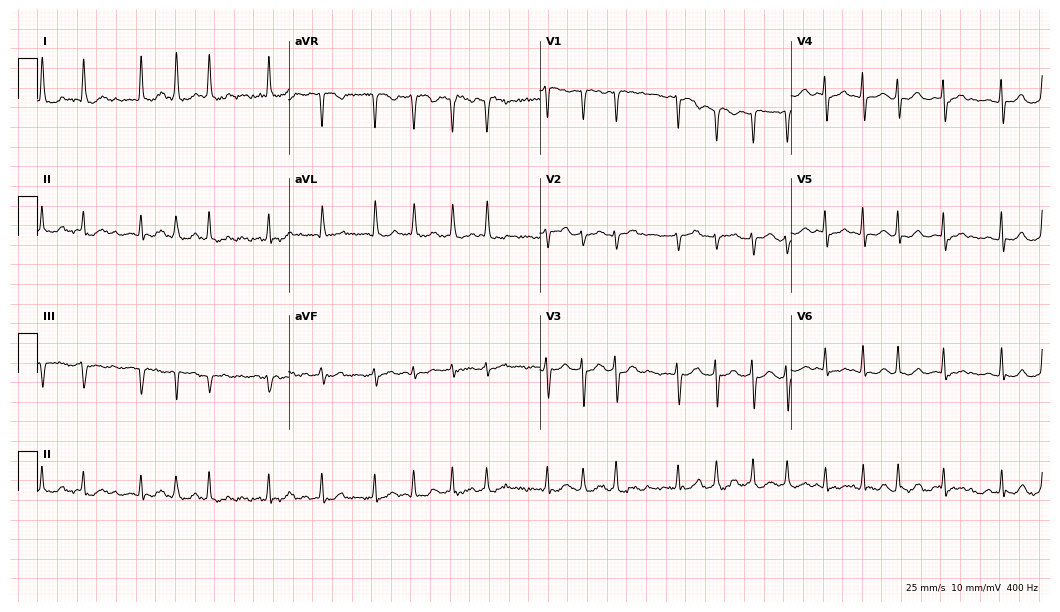
12-lead ECG (10.2-second recording at 400 Hz) from a female patient, 66 years old. Findings include atrial fibrillation (AF).